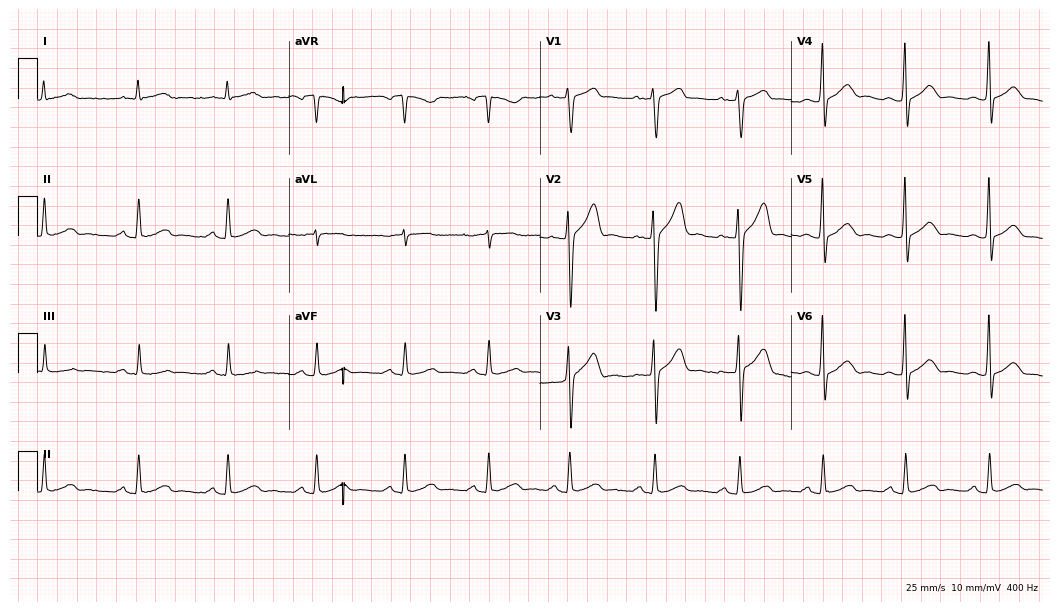
12-lead ECG from a male, 45 years old. Labelled as a normal ECG.